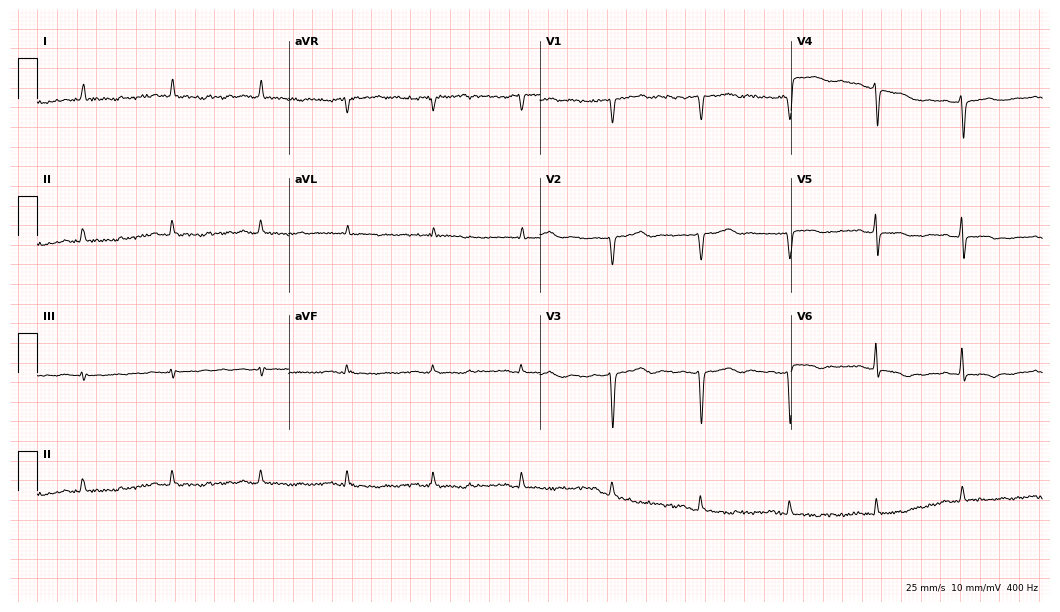
ECG (10.2-second recording at 400 Hz) — a 57-year-old female patient. Screened for six findings — first-degree AV block, right bundle branch block, left bundle branch block, sinus bradycardia, atrial fibrillation, sinus tachycardia — none is recorded. Only these six findings were labelled.